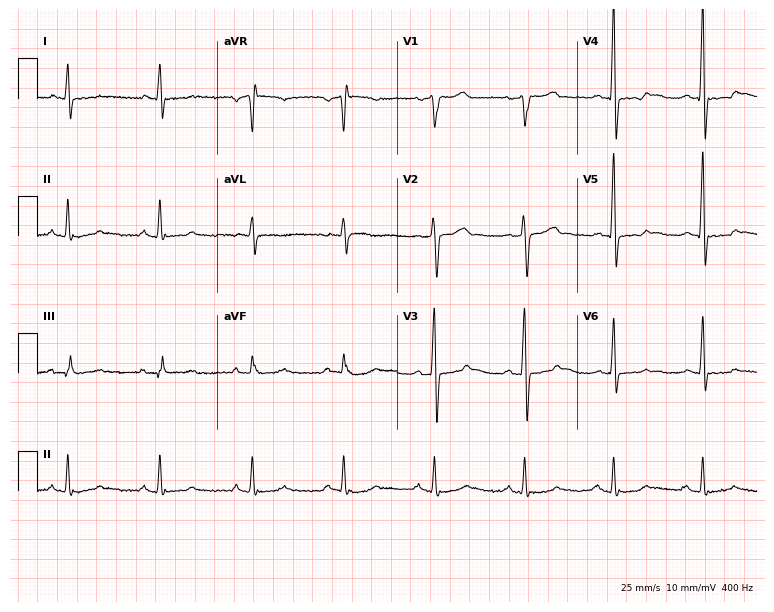
Electrocardiogram, a man, 66 years old. Of the six screened findings (first-degree AV block, right bundle branch block (RBBB), left bundle branch block (LBBB), sinus bradycardia, atrial fibrillation (AF), sinus tachycardia), none is recorded. Findings outside these six are not listed.